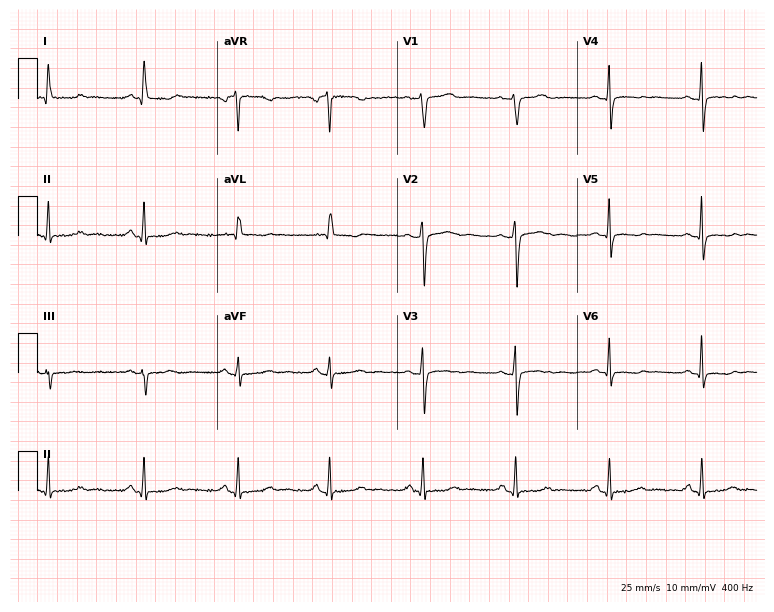
Electrocardiogram (7.3-second recording at 400 Hz), a 52-year-old woman. Of the six screened findings (first-degree AV block, right bundle branch block, left bundle branch block, sinus bradycardia, atrial fibrillation, sinus tachycardia), none is recorded.